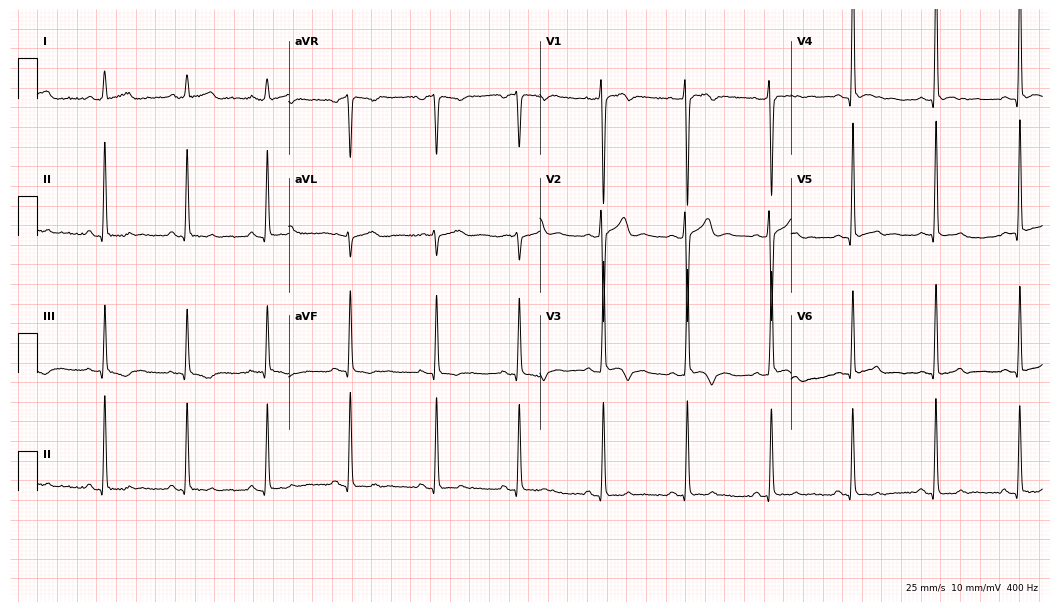
ECG — a male patient, 20 years old. Labelled as a normal ECG.